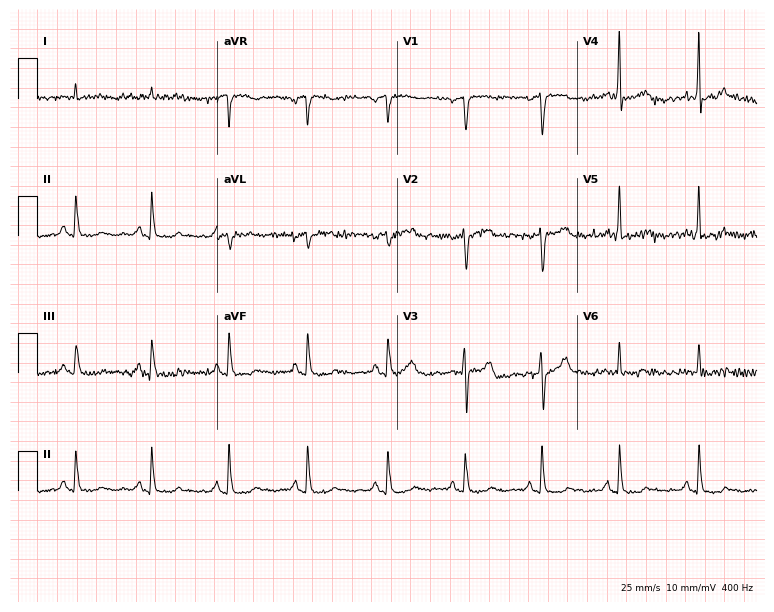
12-lead ECG from a 77-year-old male patient. Screened for six findings — first-degree AV block, right bundle branch block, left bundle branch block, sinus bradycardia, atrial fibrillation, sinus tachycardia — none is recorded. Findings outside these six are not listed.